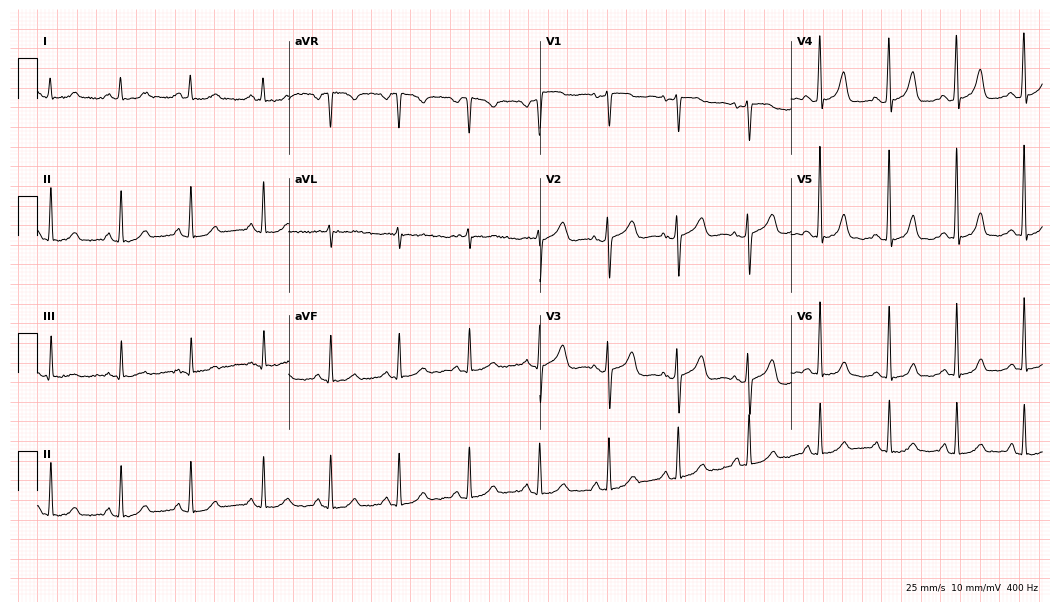
ECG — a 50-year-old woman. Labelled as a normal ECG.